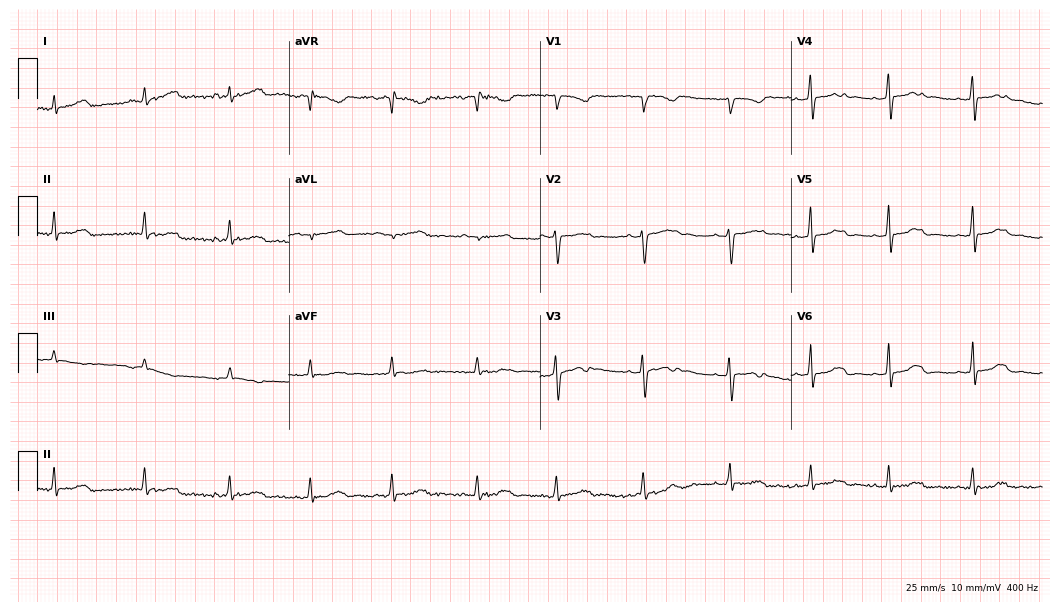
12-lead ECG (10.2-second recording at 400 Hz) from a female patient, 37 years old. Screened for six findings — first-degree AV block, right bundle branch block, left bundle branch block, sinus bradycardia, atrial fibrillation, sinus tachycardia — none is recorded. Only these six findings were labelled.